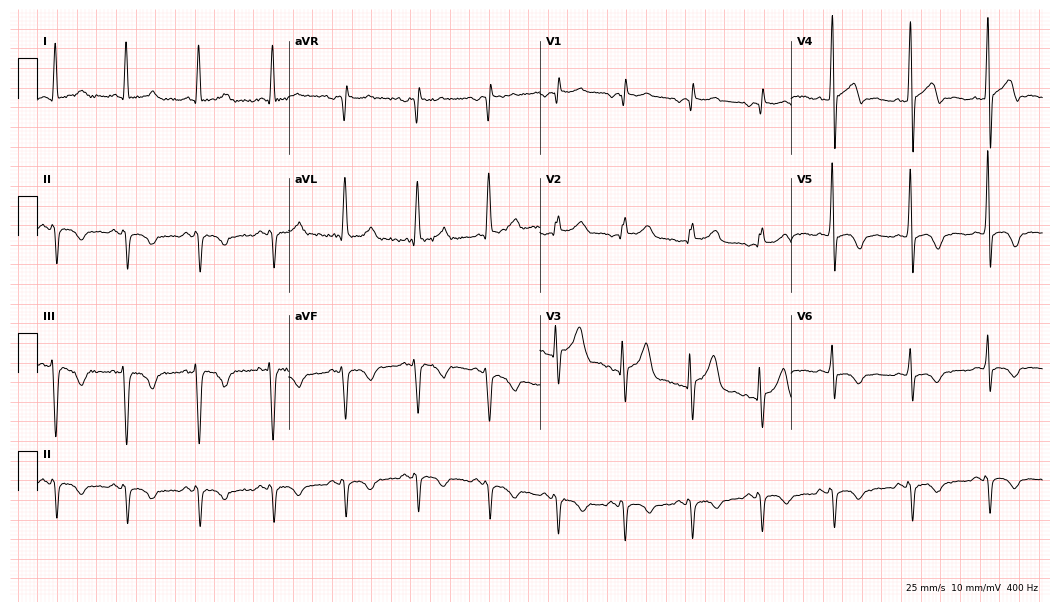
ECG (10.2-second recording at 400 Hz) — a male patient, 51 years old. Screened for six findings — first-degree AV block, right bundle branch block (RBBB), left bundle branch block (LBBB), sinus bradycardia, atrial fibrillation (AF), sinus tachycardia — none is recorded.